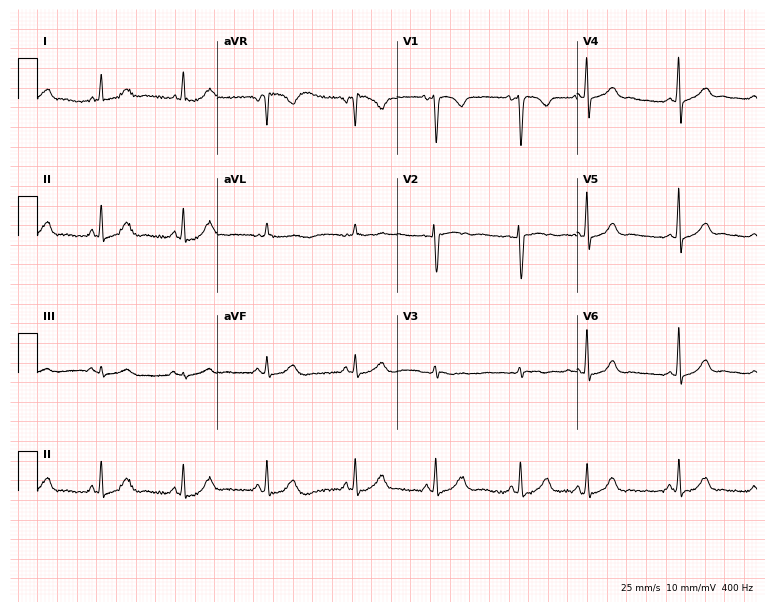
Standard 12-lead ECG recorded from a female patient, 31 years old (7.3-second recording at 400 Hz). Read as a normal ECG.